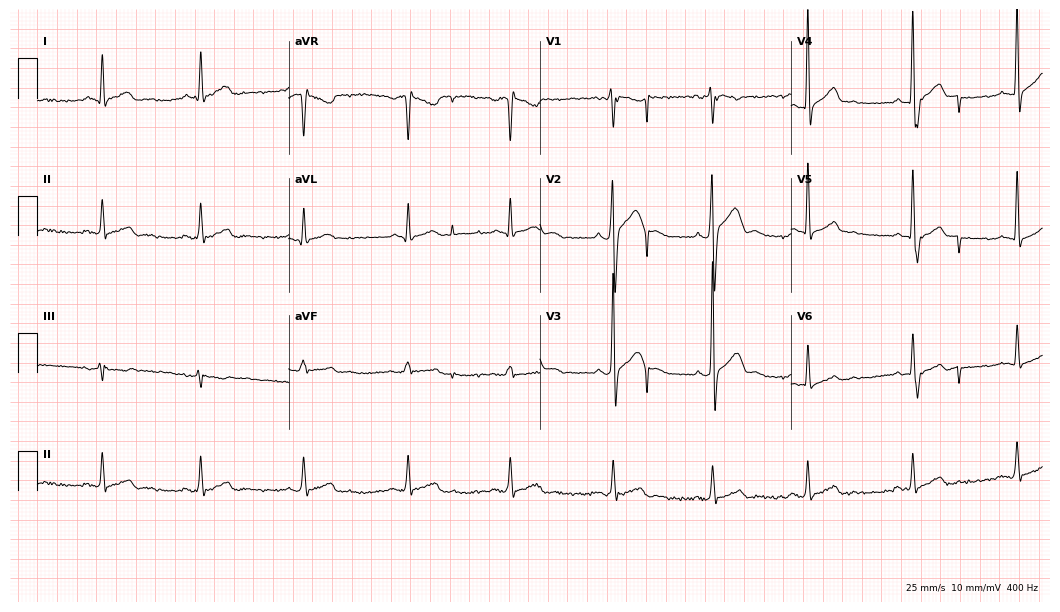
Standard 12-lead ECG recorded from a male, 36 years old. Read as a normal ECG.